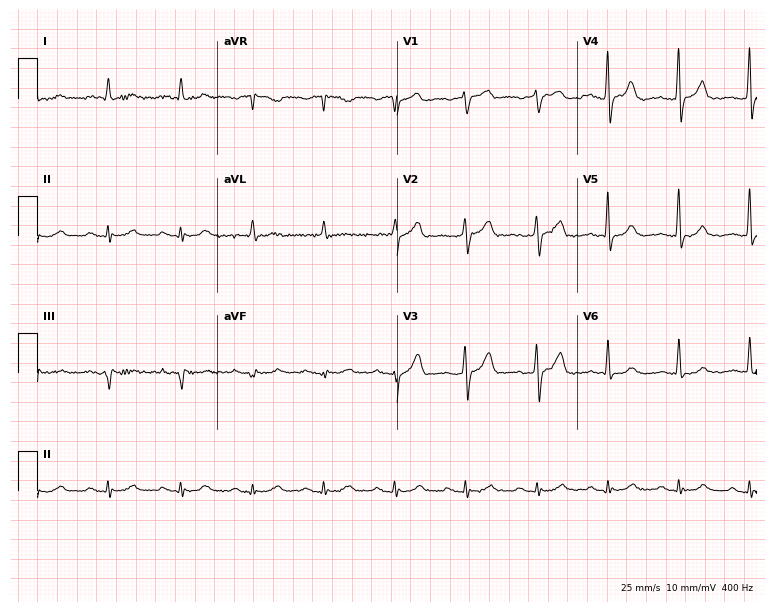
12-lead ECG from a male patient, 72 years old. No first-degree AV block, right bundle branch block (RBBB), left bundle branch block (LBBB), sinus bradycardia, atrial fibrillation (AF) or sinus tachycardia recorded for this tracing. Other findings, if any, are not listed.